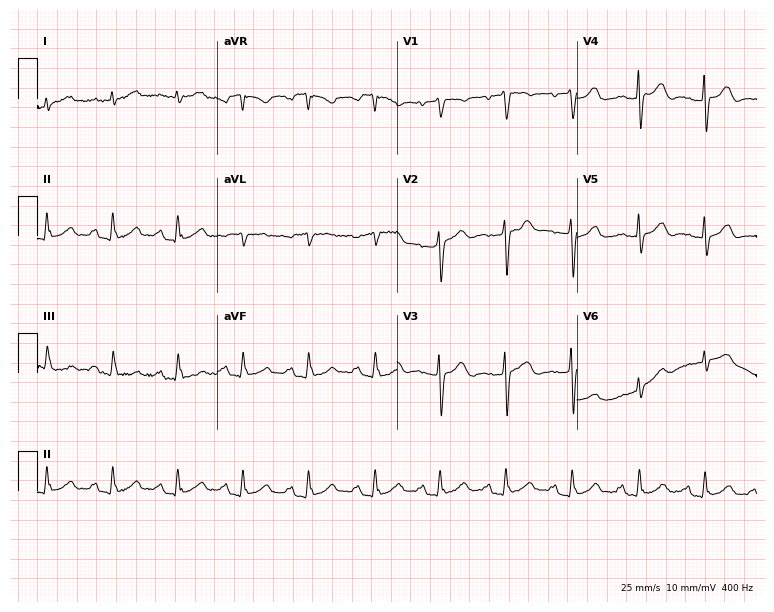
12-lead ECG from a 72-year-old female. Screened for six findings — first-degree AV block, right bundle branch block, left bundle branch block, sinus bradycardia, atrial fibrillation, sinus tachycardia — none is recorded. Only these six findings were labelled.